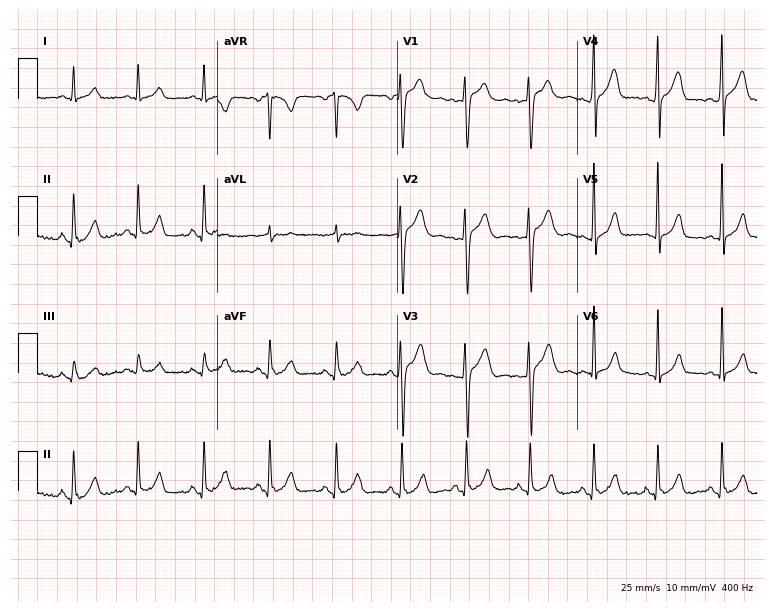
Standard 12-lead ECG recorded from a 27-year-old man. Read as a normal ECG.